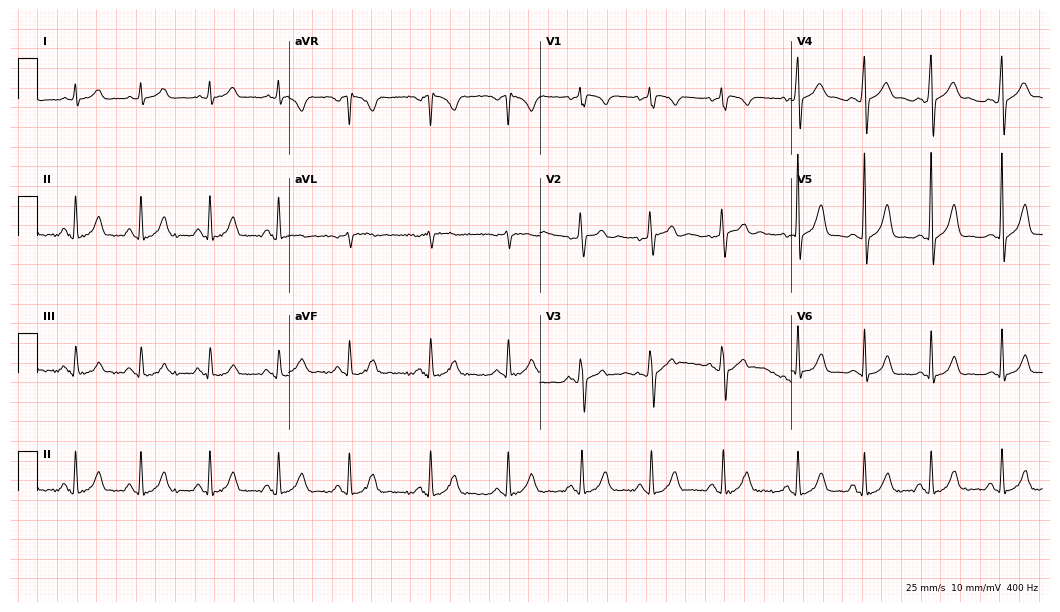
ECG (10.2-second recording at 400 Hz) — a 37-year-old man. Labelled as a normal ECG.